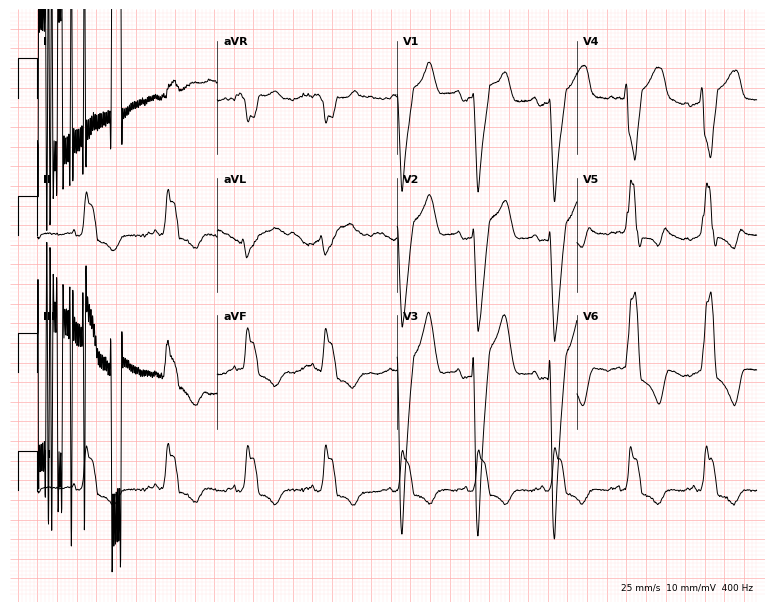
Electrocardiogram, a 51-year-old female. Interpretation includes left bundle branch block.